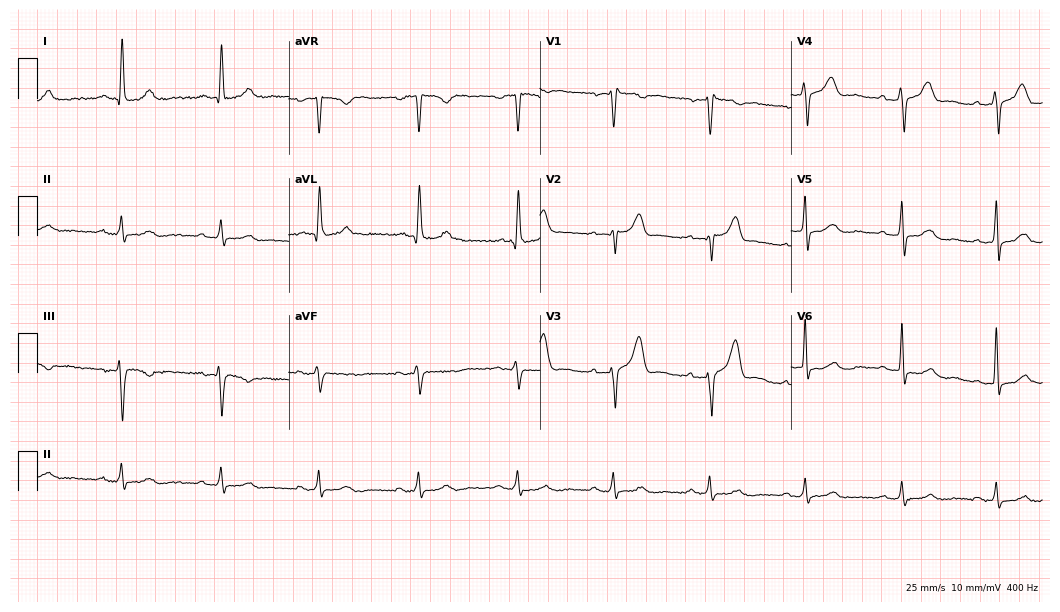
Electrocardiogram (10.2-second recording at 400 Hz), a man, 65 years old. Of the six screened findings (first-degree AV block, right bundle branch block (RBBB), left bundle branch block (LBBB), sinus bradycardia, atrial fibrillation (AF), sinus tachycardia), none is recorded. Only these six findings were labelled.